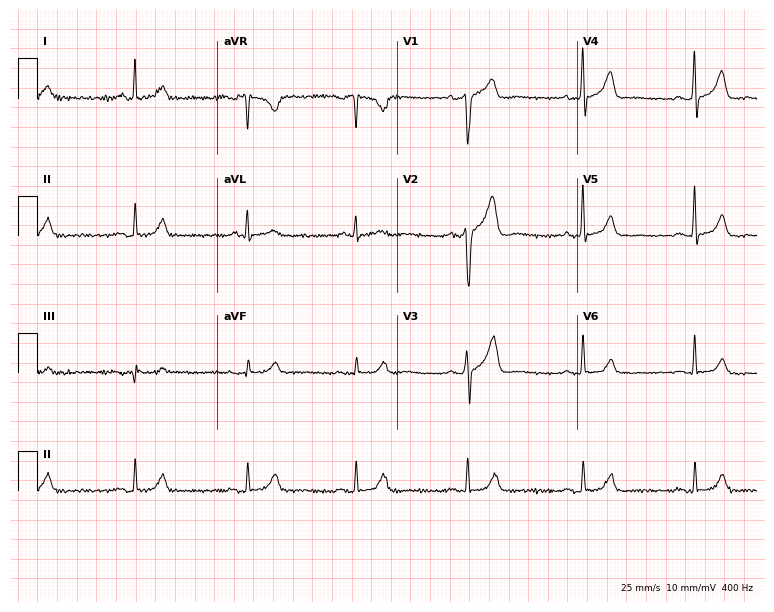
Standard 12-lead ECG recorded from a male, 52 years old. Read as a normal ECG.